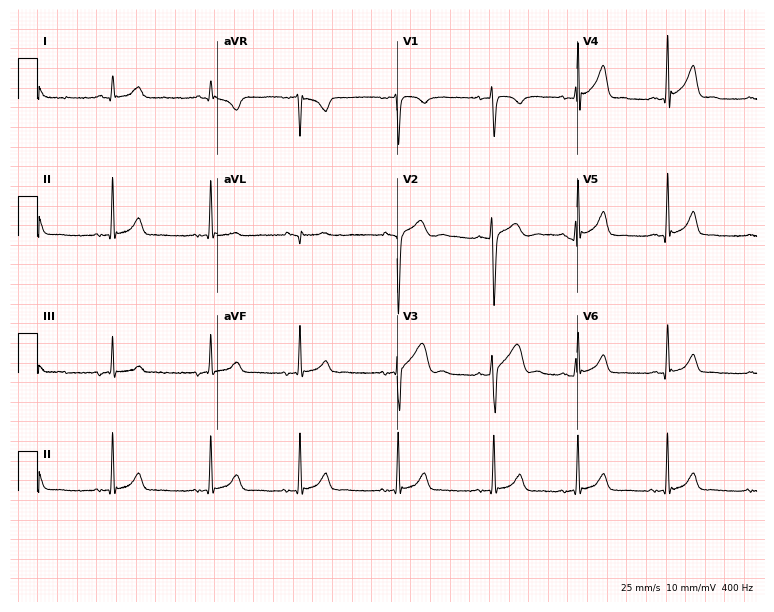
Resting 12-lead electrocardiogram (7.3-second recording at 400 Hz). Patient: a 26-year-old male. None of these six findings is recorded: first-degree AV block, right bundle branch block, left bundle branch block, sinus bradycardia, atrial fibrillation, sinus tachycardia.